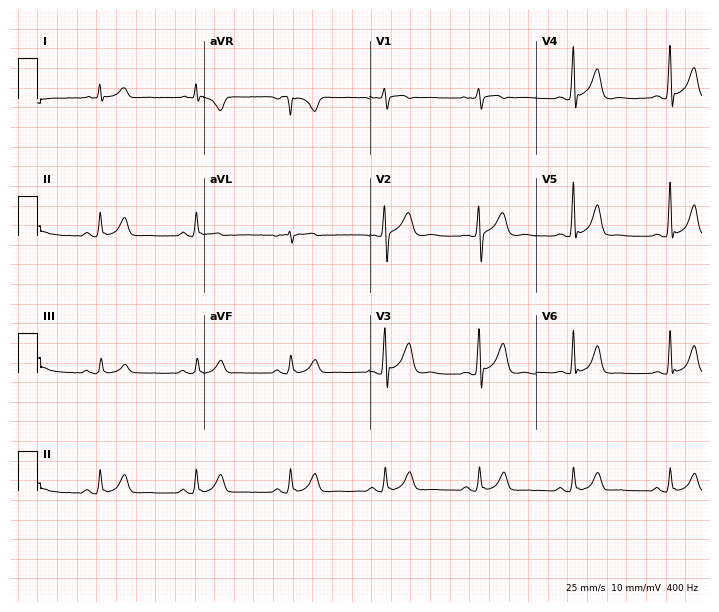
12-lead ECG from a male, 50 years old. Recorded interpretation: within normal limits.